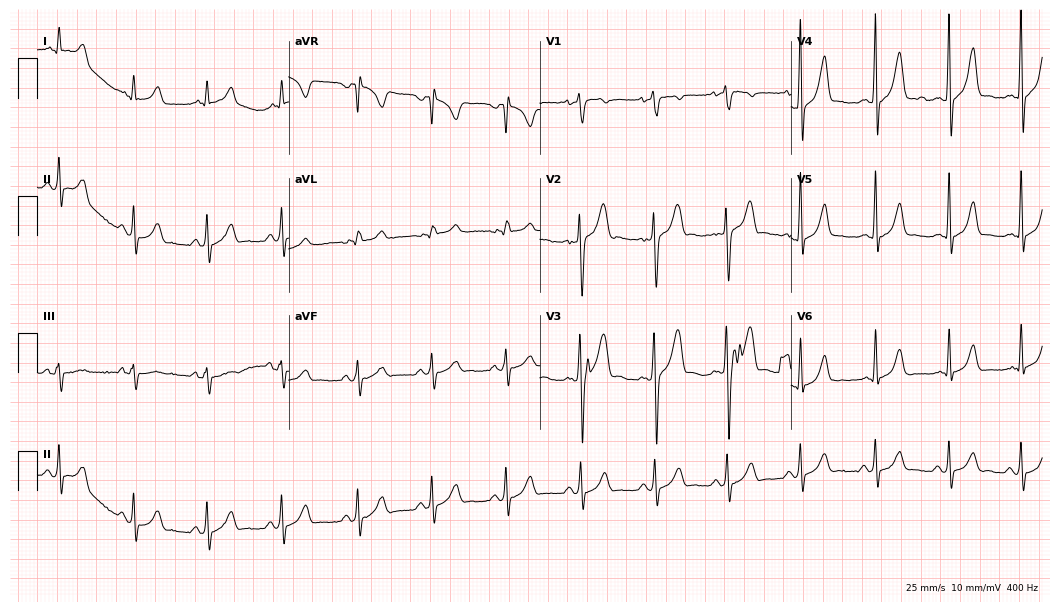
12-lead ECG from a male patient, 19 years old. Recorded interpretation: within normal limits.